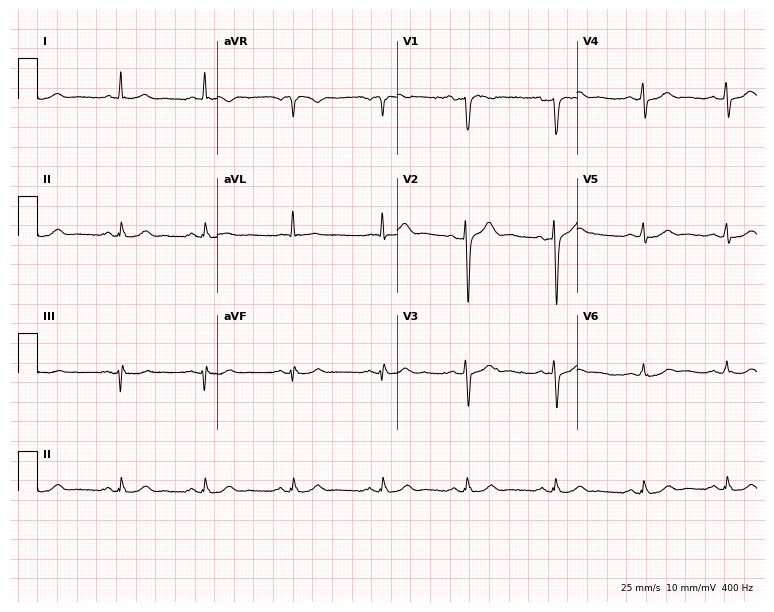
12-lead ECG from a 66-year-old male patient. Recorded interpretation: within normal limits.